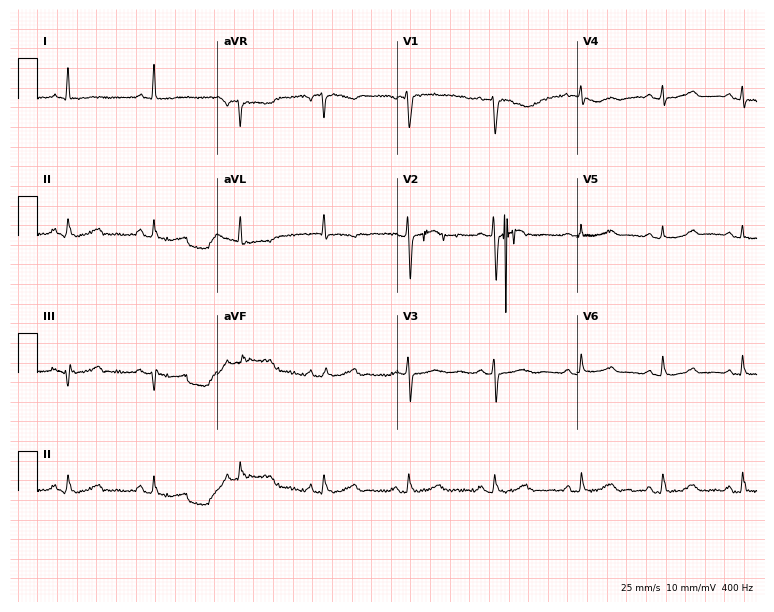
Electrocardiogram (7.3-second recording at 400 Hz), a 64-year-old female. Of the six screened findings (first-degree AV block, right bundle branch block, left bundle branch block, sinus bradycardia, atrial fibrillation, sinus tachycardia), none is recorded. Findings outside these six are not listed.